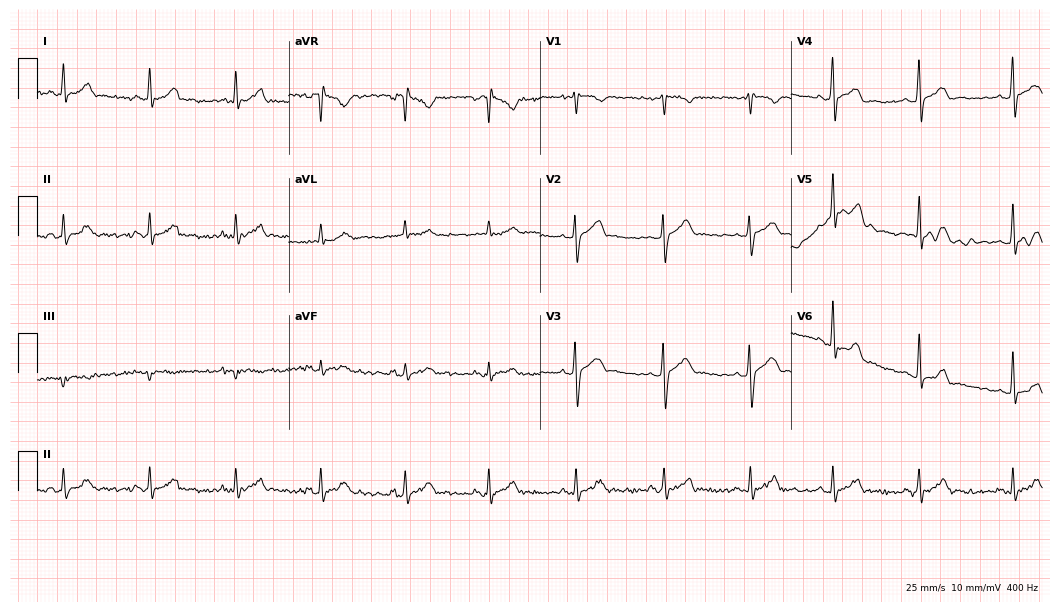
Electrocardiogram (10.2-second recording at 400 Hz), a man, 33 years old. Of the six screened findings (first-degree AV block, right bundle branch block, left bundle branch block, sinus bradycardia, atrial fibrillation, sinus tachycardia), none is recorded. Findings outside these six are not listed.